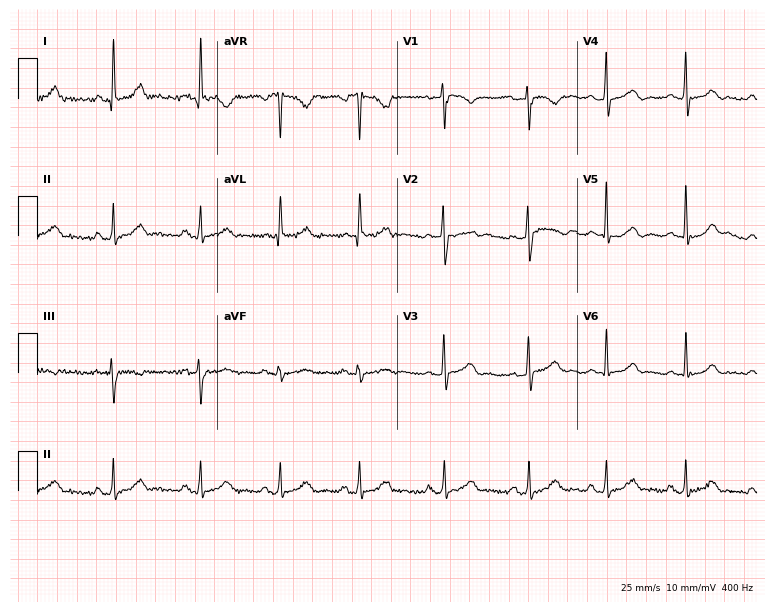
Electrocardiogram (7.3-second recording at 400 Hz), a 36-year-old woman. Of the six screened findings (first-degree AV block, right bundle branch block, left bundle branch block, sinus bradycardia, atrial fibrillation, sinus tachycardia), none is recorded. Only these six findings were labelled.